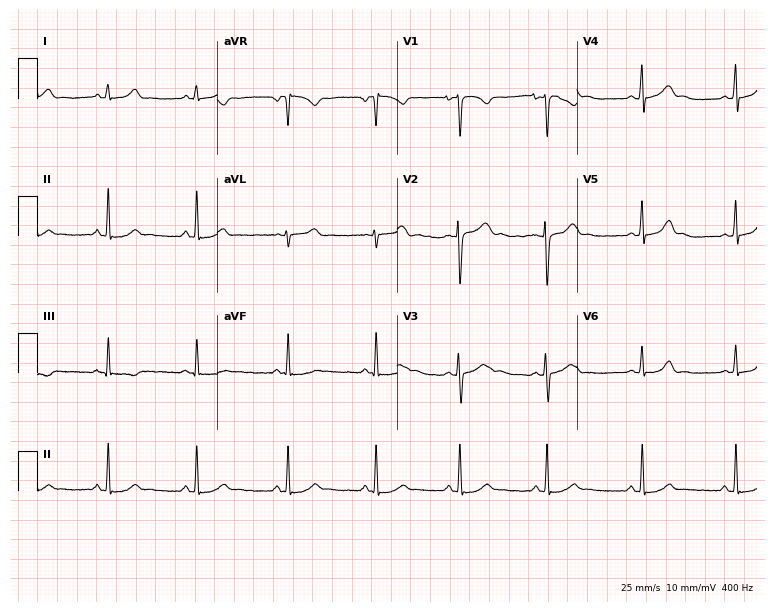
Resting 12-lead electrocardiogram (7.3-second recording at 400 Hz). Patient: a 17-year-old woman. Read as a normal ECG.